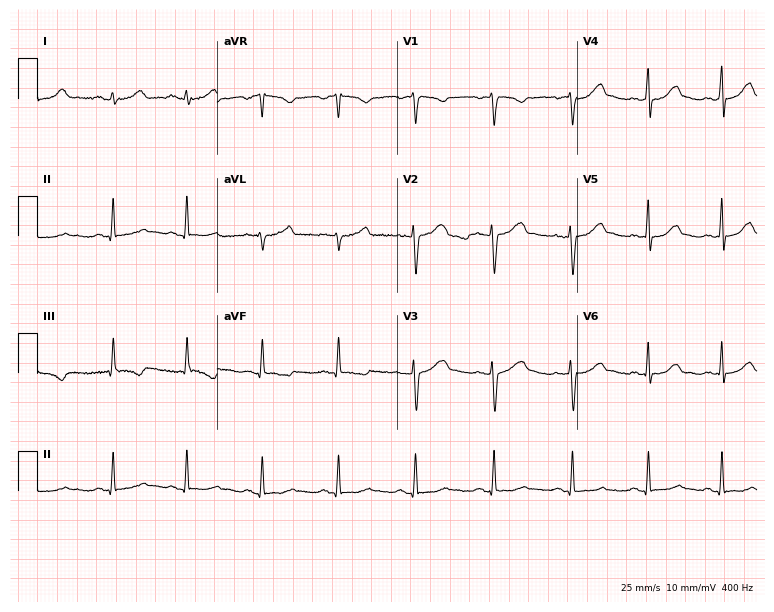
12-lead ECG from a 24-year-old female patient (7.3-second recording at 400 Hz). Recorded interpretation: within normal limits.